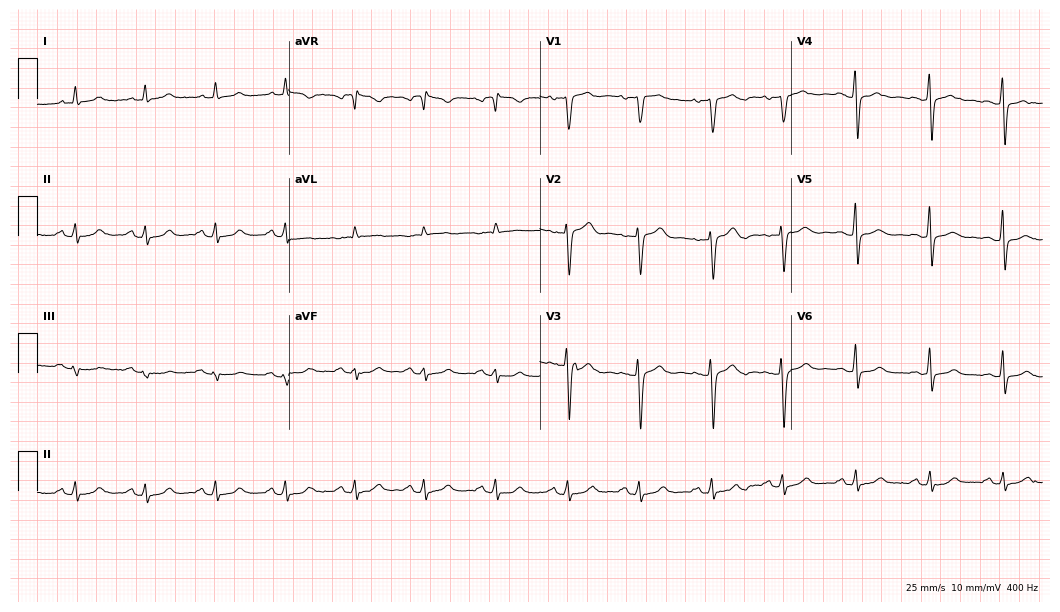
Electrocardiogram (10.2-second recording at 400 Hz), a female patient, 36 years old. Overall reading on record: normal ECG.